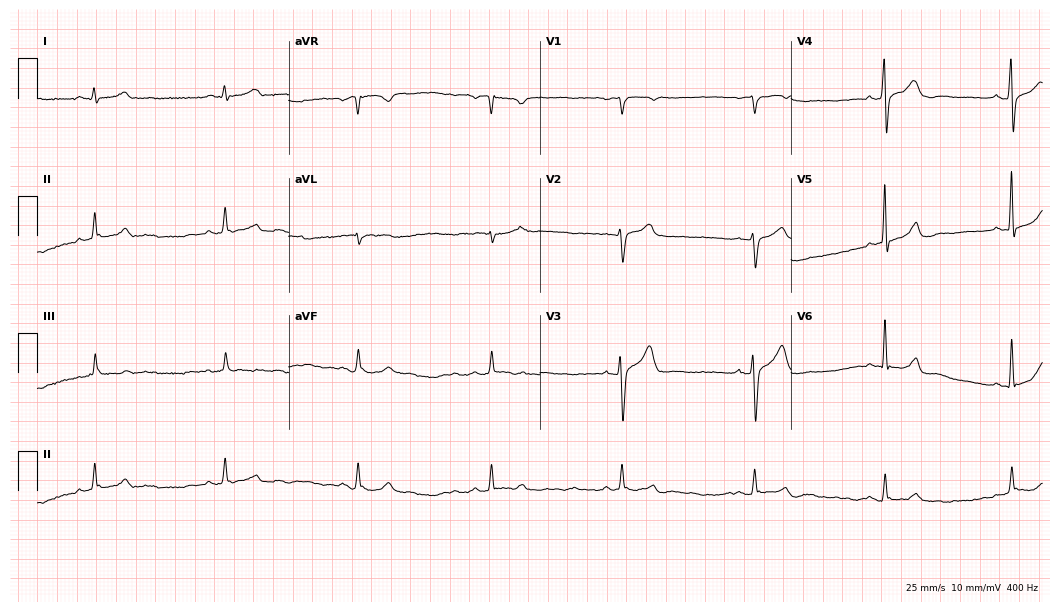
12-lead ECG (10.2-second recording at 400 Hz) from a male patient, 66 years old. Screened for six findings — first-degree AV block, right bundle branch block (RBBB), left bundle branch block (LBBB), sinus bradycardia, atrial fibrillation (AF), sinus tachycardia — none is recorded. Only these six findings were labelled.